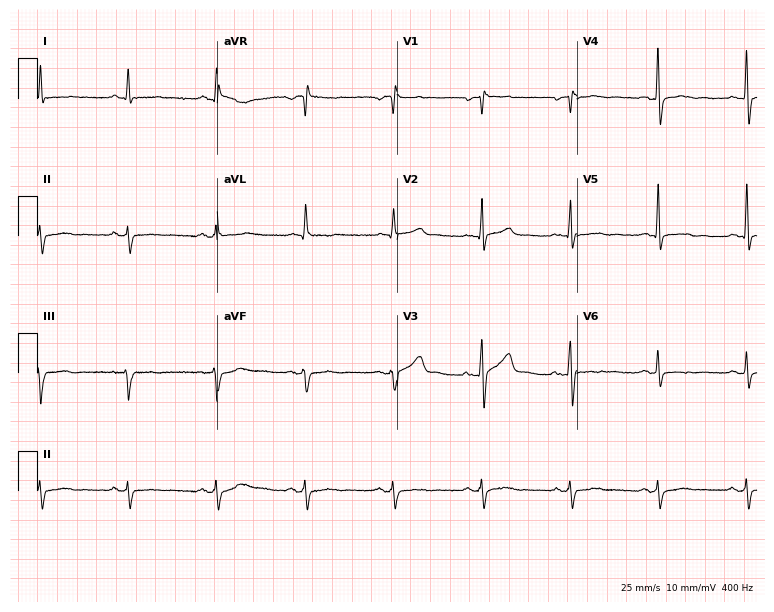
ECG — a 71-year-old male patient. Screened for six findings — first-degree AV block, right bundle branch block, left bundle branch block, sinus bradycardia, atrial fibrillation, sinus tachycardia — none is recorded. Findings outside these six are not listed.